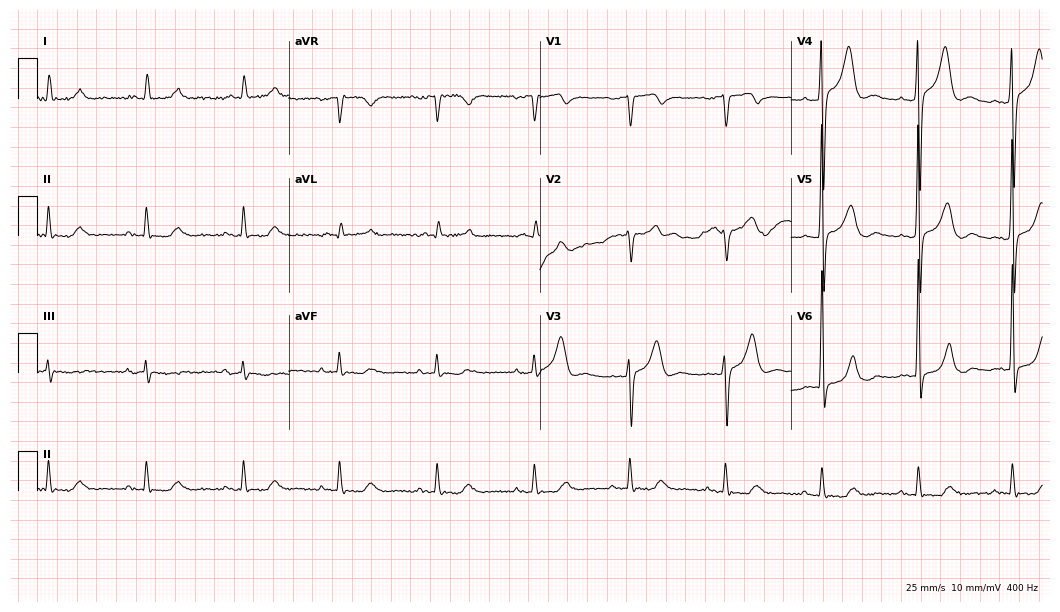
Standard 12-lead ECG recorded from a male patient, 79 years old. None of these six findings is recorded: first-degree AV block, right bundle branch block, left bundle branch block, sinus bradycardia, atrial fibrillation, sinus tachycardia.